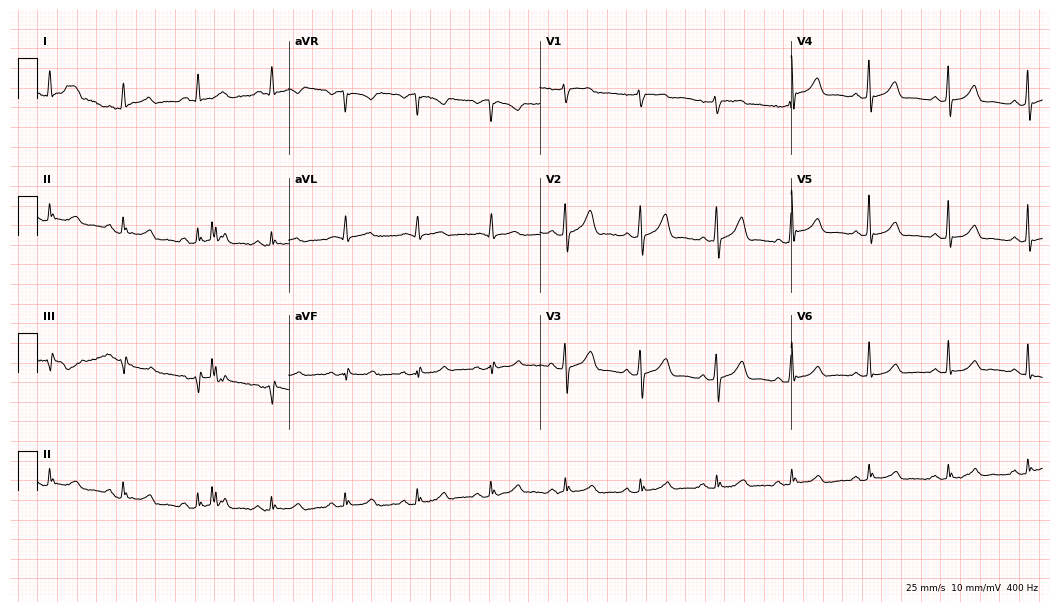
ECG (10.2-second recording at 400 Hz) — a female patient, 62 years old. Labelled as a normal ECG.